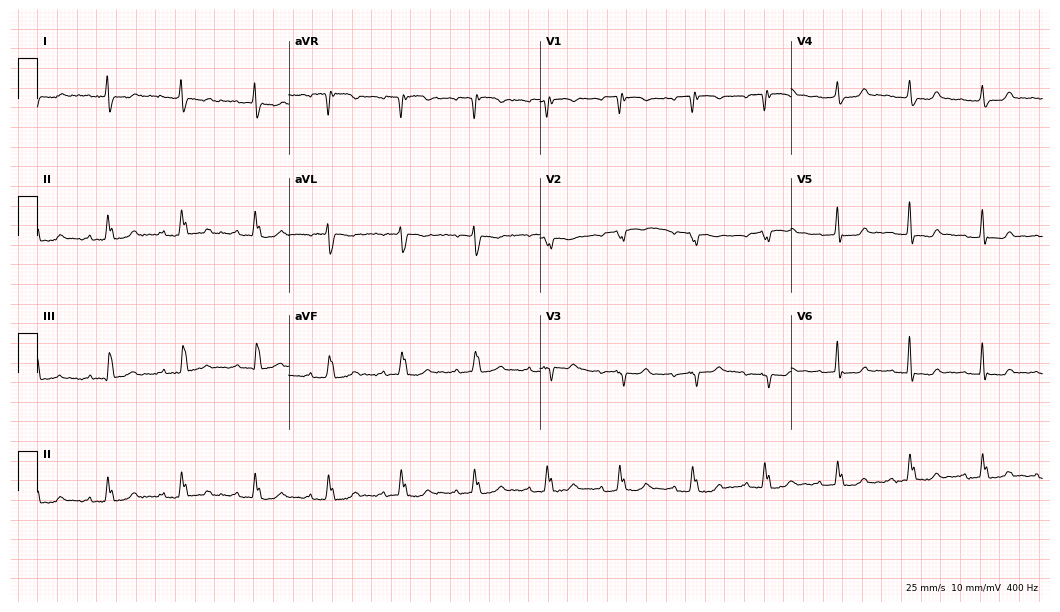
Resting 12-lead electrocardiogram. Patient: a woman, 74 years old. None of these six findings is recorded: first-degree AV block, right bundle branch block (RBBB), left bundle branch block (LBBB), sinus bradycardia, atrial fibrillation (AF), sinus tachycardia.